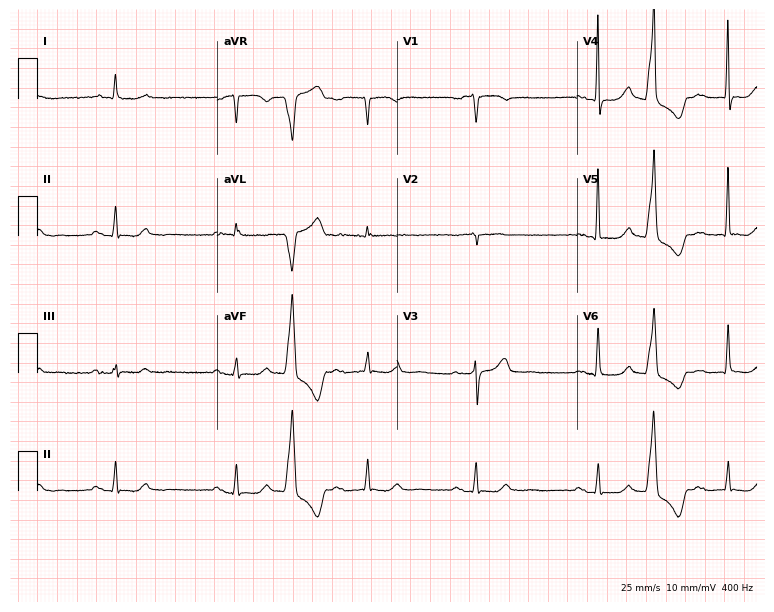
12-lead ECG from a 75-year-old male patient. No first-degree AV block, right bundle branch block, left bundle branch block, sinus bradycardia, atrial fibrillation or sinus tachycardia recorded for this tracing. Only these six findings were labelled.